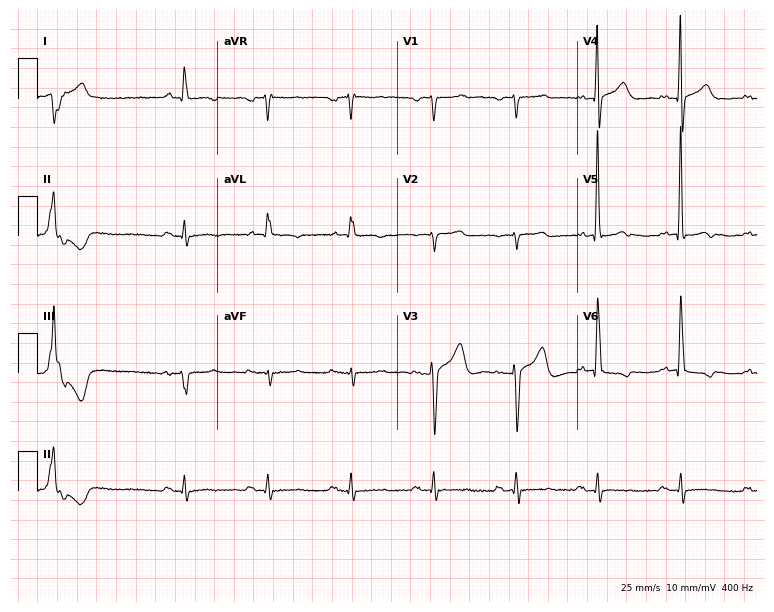
Standard 12-lead ECG recorded from an 83-year-old male. None of these six findings is recorded: first-degree AV block, right bundle branch block, left bundle branch block, sinus bradycardia, atrial fibrillation, sinus tachycardia.